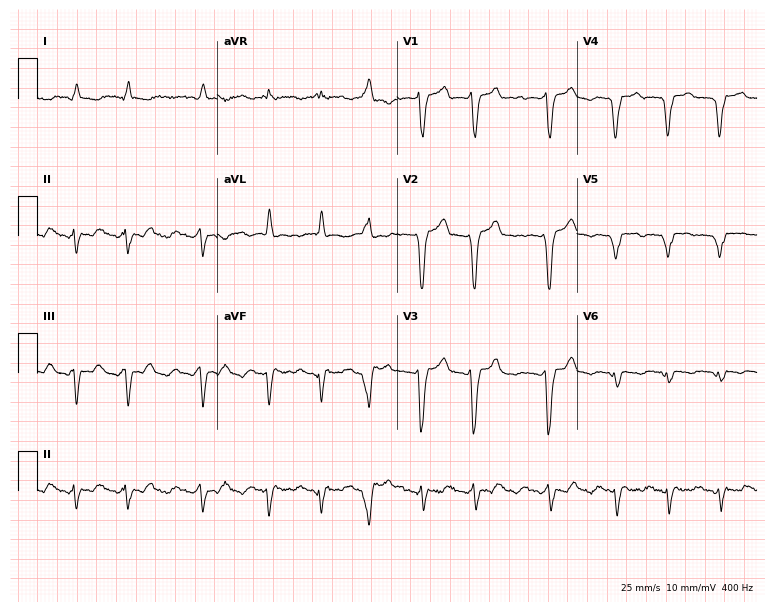
12-lead ECG from a male, 86 years old. No first-degree AV block, right bundle branch block, left bundle branch block, sinus bradycardia, atrial fibrillation or sinus tachycardia recorded for this tracing.